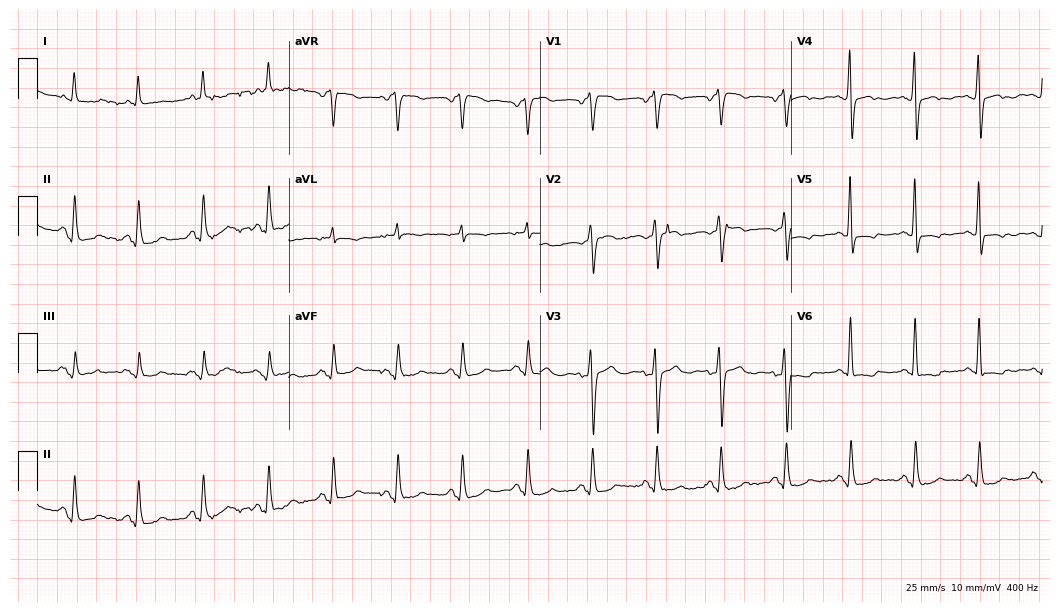
12-lead ECG from a 67-year-old woman. No first-degree AV block, right bundle branch block, left bundle branch block, sinus bradycardia, atrial fibrillation or sinus tachycardia recorded for this tracing. Only these six findings were labelled.